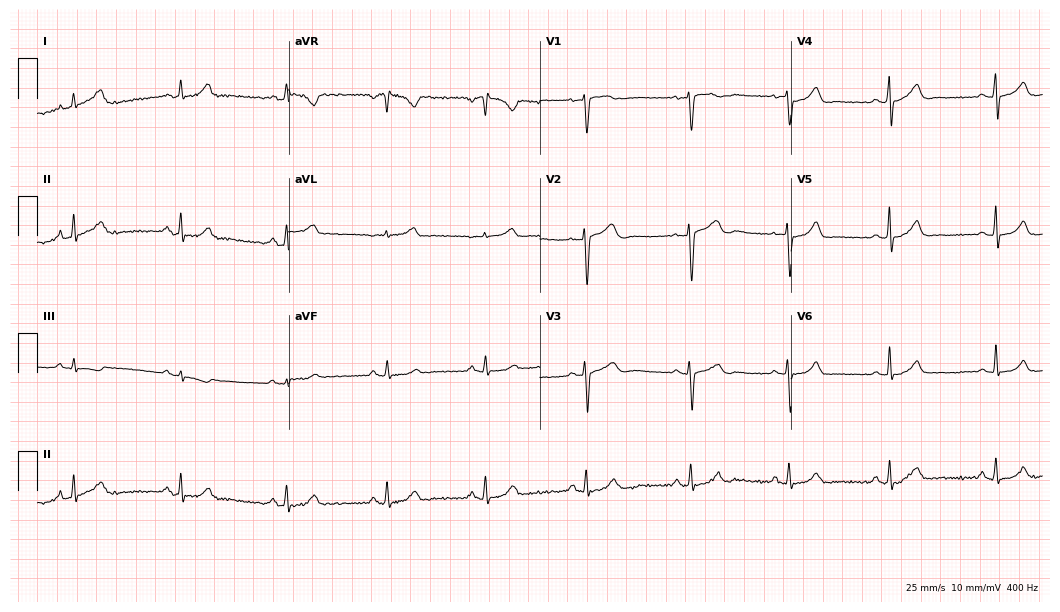
Standard 12-lead ECG recorded from a woman, 45 years old. Read as a normal ECG.